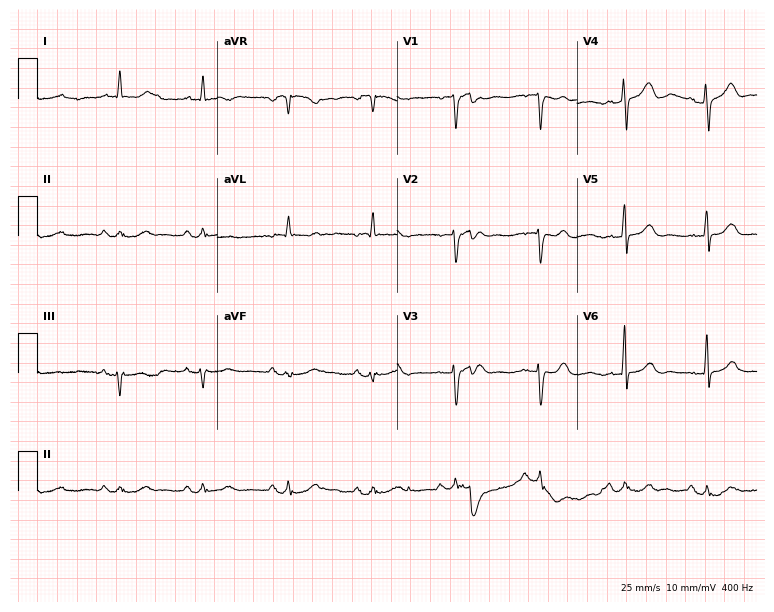
ECG (7.3-second recording at 400 Hz) — an 83-year-old male. Screened for six findings — first-degree AV block, right bundle branch block, left bundle branch block, sinus bradycardia, atrial fibrillation, sinus tachycardia — none is recorded.